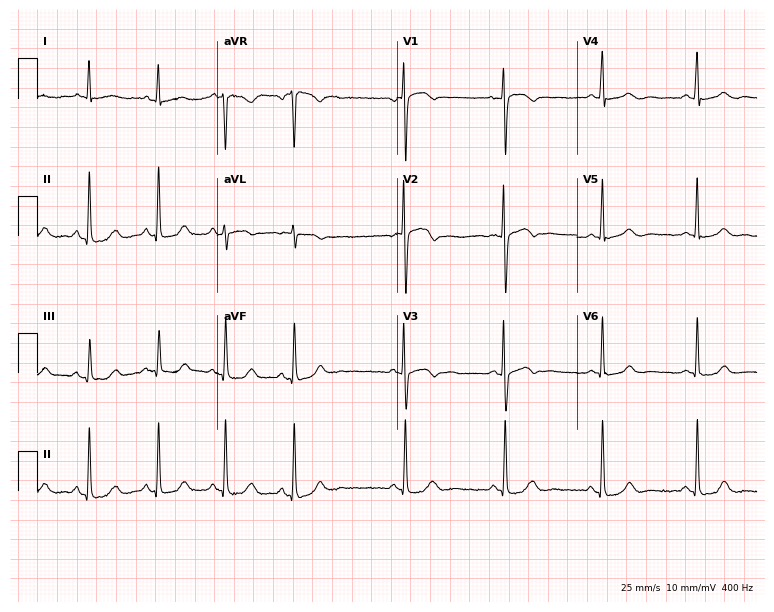
ECG — a woman, 56 years old. Labelled as a normal ECG.